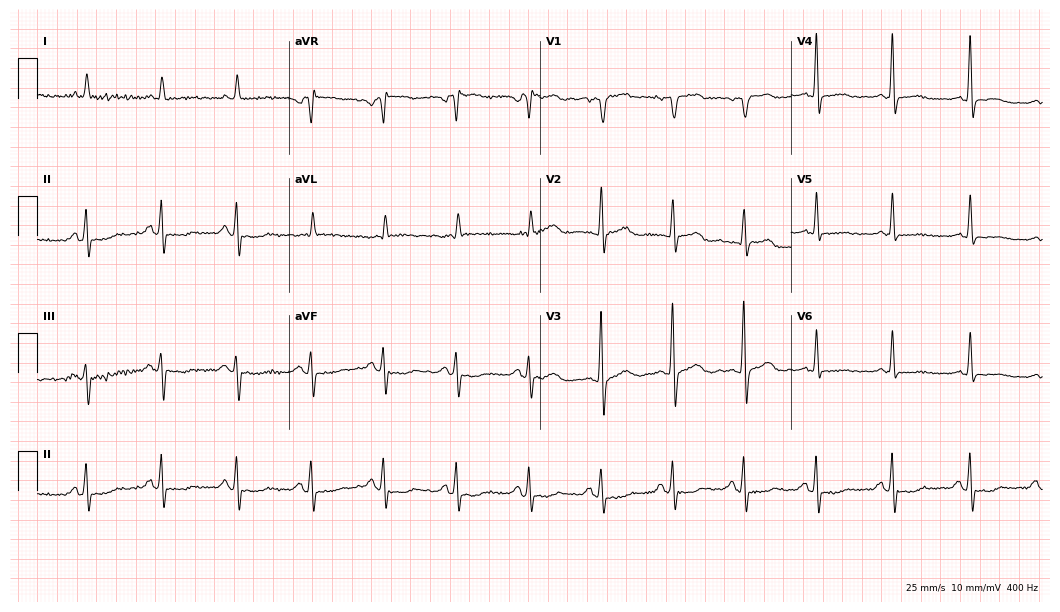
Electrocardiogram, a 78-year-old female patient. Of the six screened findings (first-degree AV block, right bundle branch block, left bundle branch block, sinus bradycardia, atrial fibrillation, sinus tachycardia), none is recorded. Other findings, if any, are not listed.